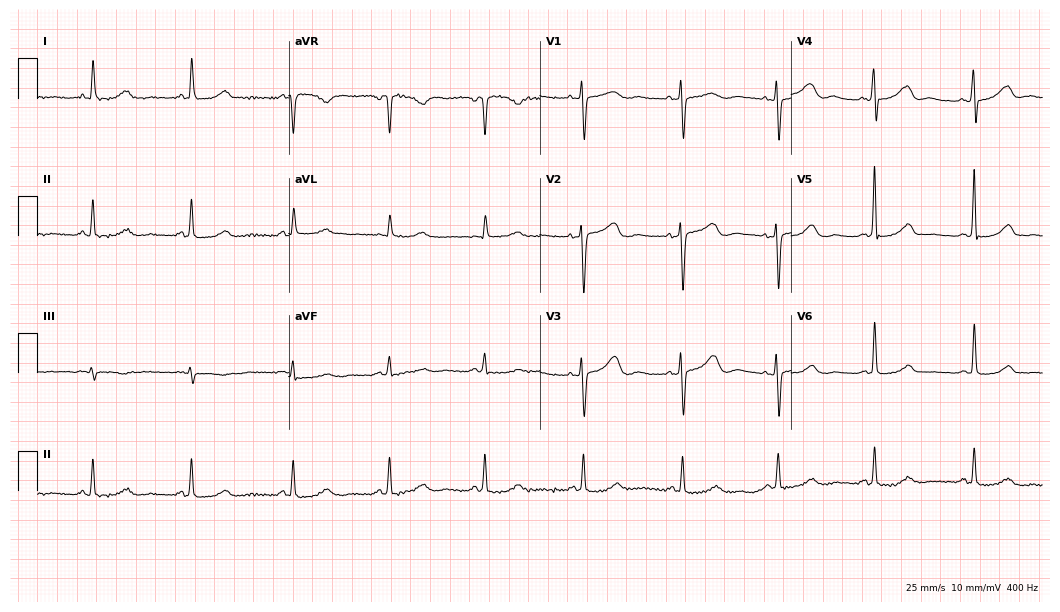
Standard 12-lead ECG recorded from a 53-year-old woman. Read as a normal ECG.